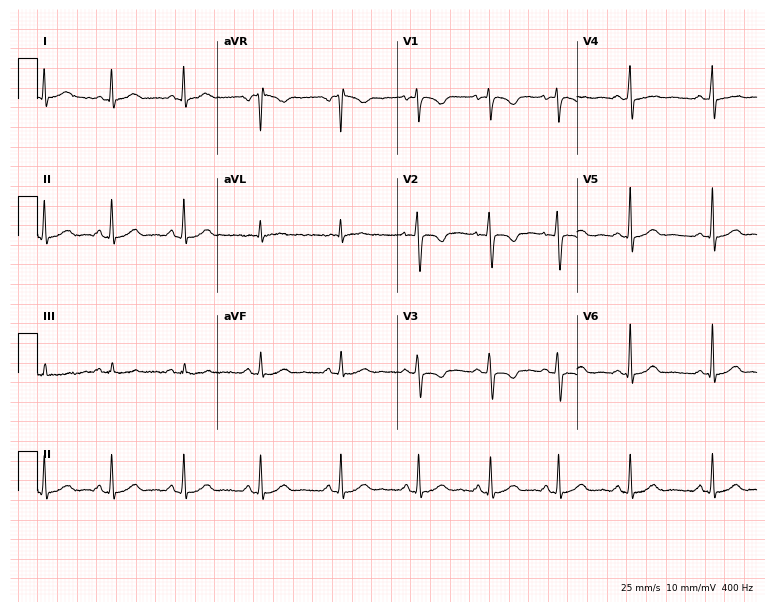
Standard 12-lead ECG recorded from a female, 36 years old. Read as a normal ECG.